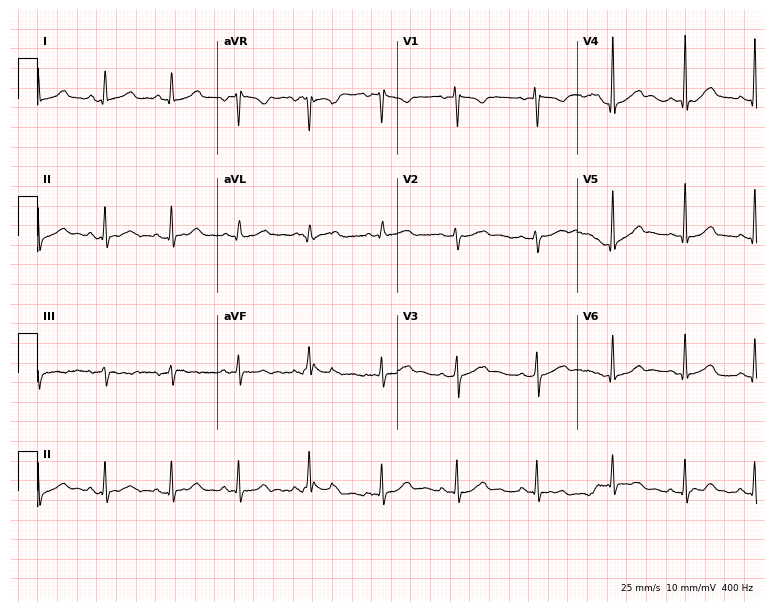
Electrocardiogram, a 35-year-old female. Overall reading on record: normal ECG.